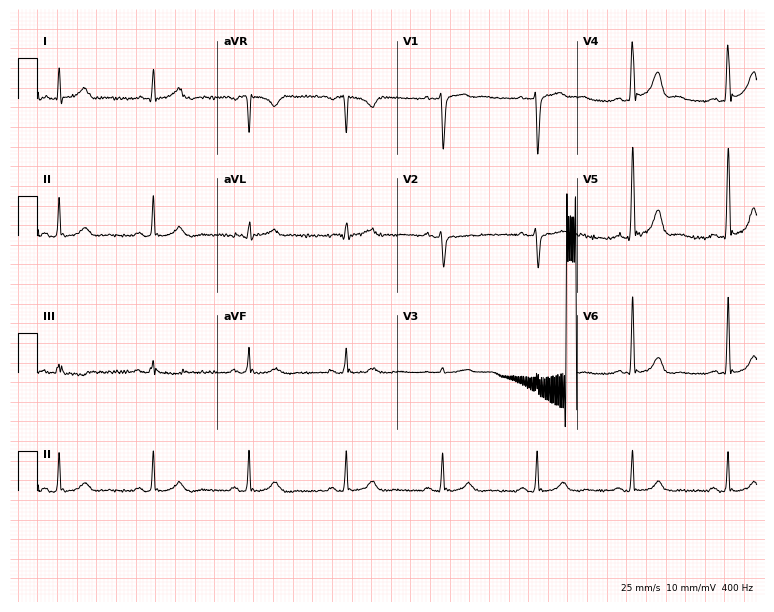
Electrocardiogram (7.3-second recording at 400 Hz), a 36-year-old male. Of the six screened findings (first-degree AV block, right bundle branch block (RBBB), left bundle branch block (LBBB), sinus bradycardia, atrial fibrillation (AF), sinus tachycardia), none is recorded.